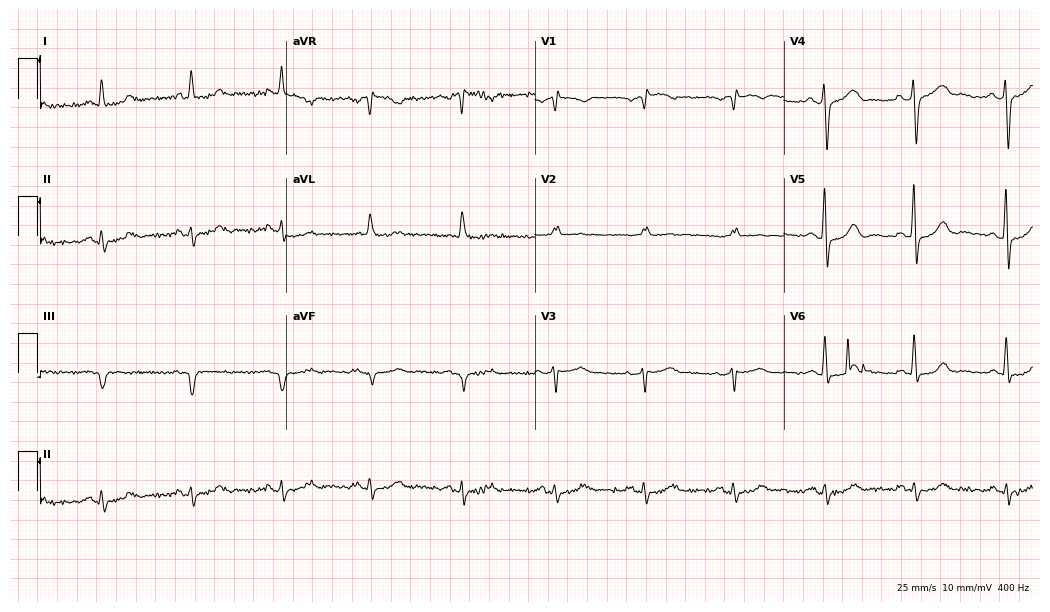
Standard 12-lead ECG recorded from a male, 65 years old. None of these six findings is recorded: first-degree AV block, right bundle branch block, left bundle branch block, sinus bradycardia, atrial fibrillation, sinus tachycardia. Findings outside these six are not listed.